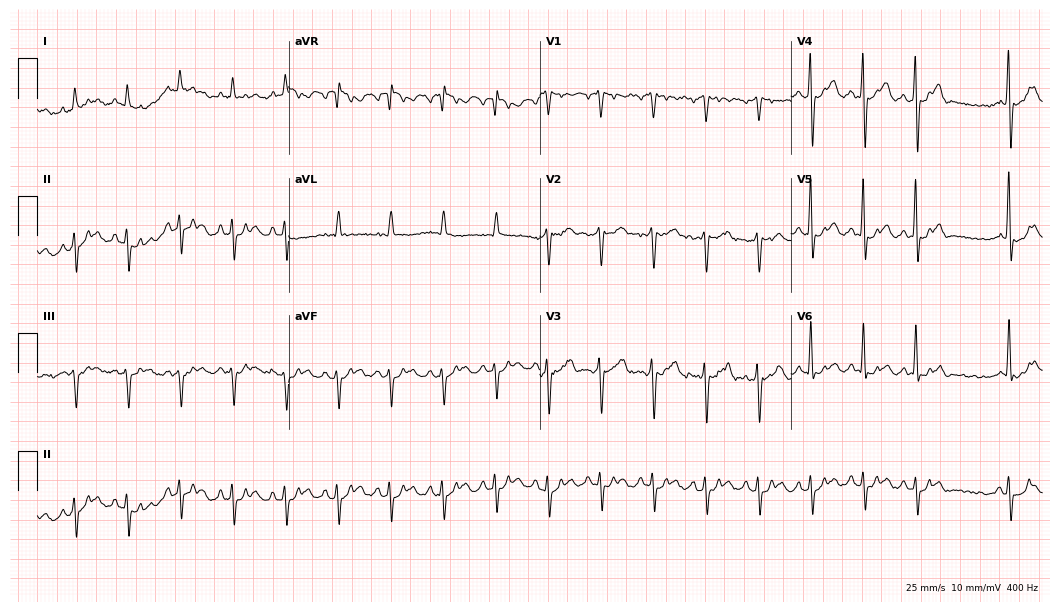
Resting 12-lead electrocardiogram. Patient: a man, 84 years old. The tracing shows sinus tachycardia (a sinus rate of 100 beats per minute or more).